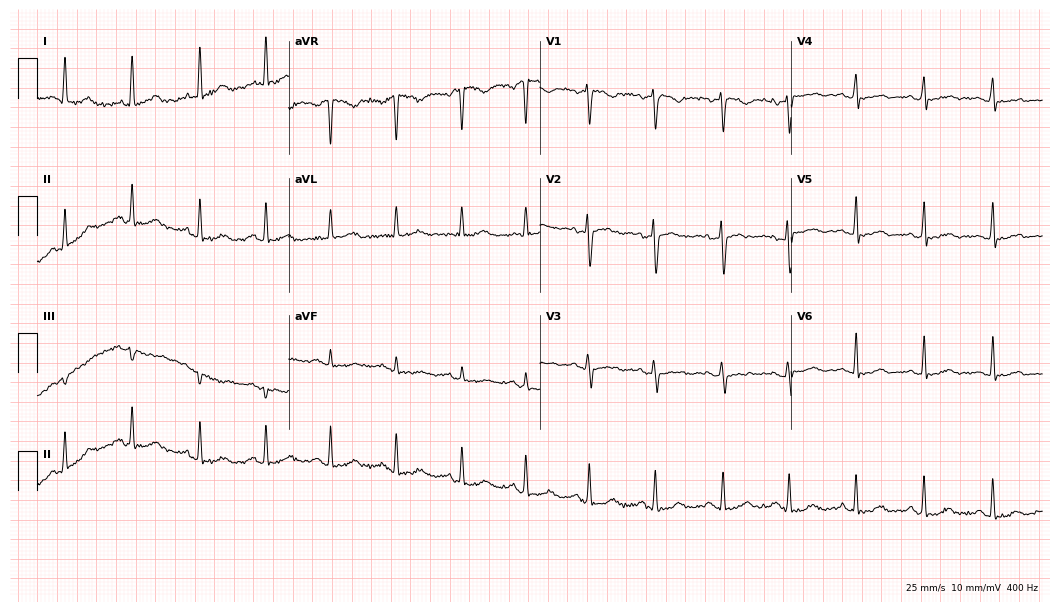
Electrocardiogram, a 38-year-old female patient. Of the six screened findings (first-degree AV block, right bundle branch block, left bundle branch block, sinus bradycardia, atrial fibrillation, sinus tachycardia), none is recorded. Only these six findings were labelled.